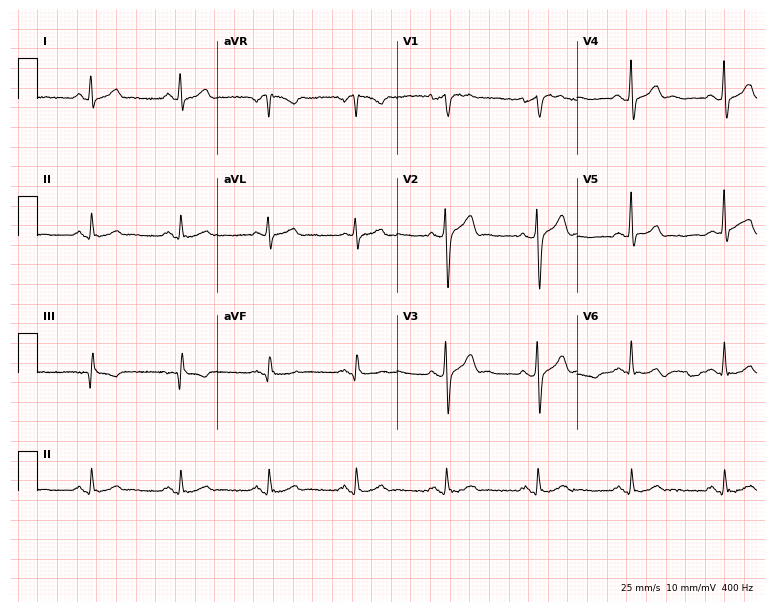
Electrocardiogram (7.3-second recording at 400 Hz), a 53-year-old male. Overall reading on record: normal ECG.